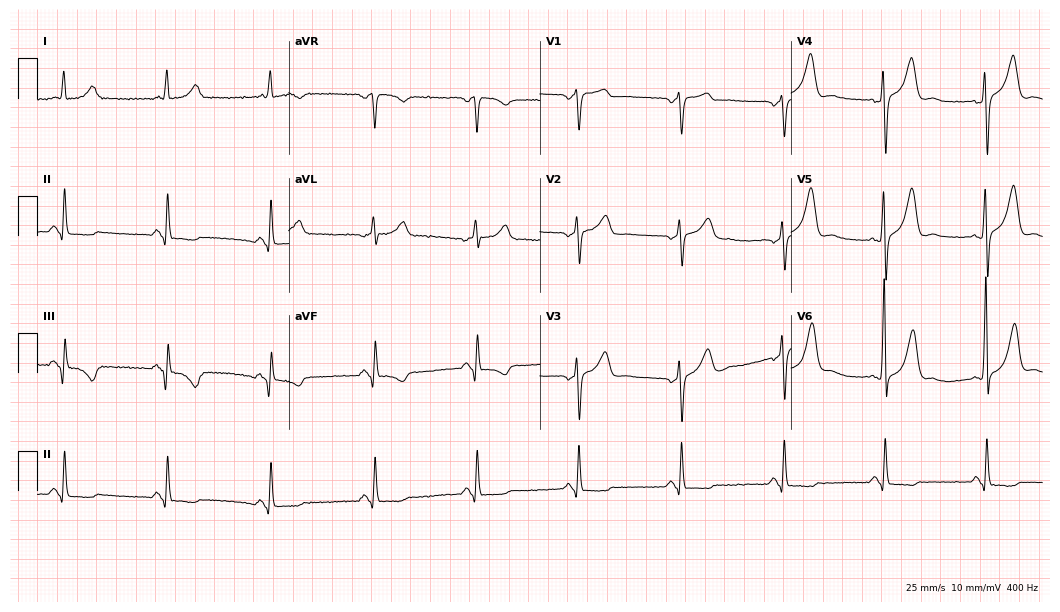
Electrocardiogram, a man, 58 years old. Of the six screened findings (first-degree AV block, right bundle branch block (RBBB), left bundle branch block (LBBB), sinus bradycardia, atrial fibrillation (AF), sinus tachycardia), none is recorded.